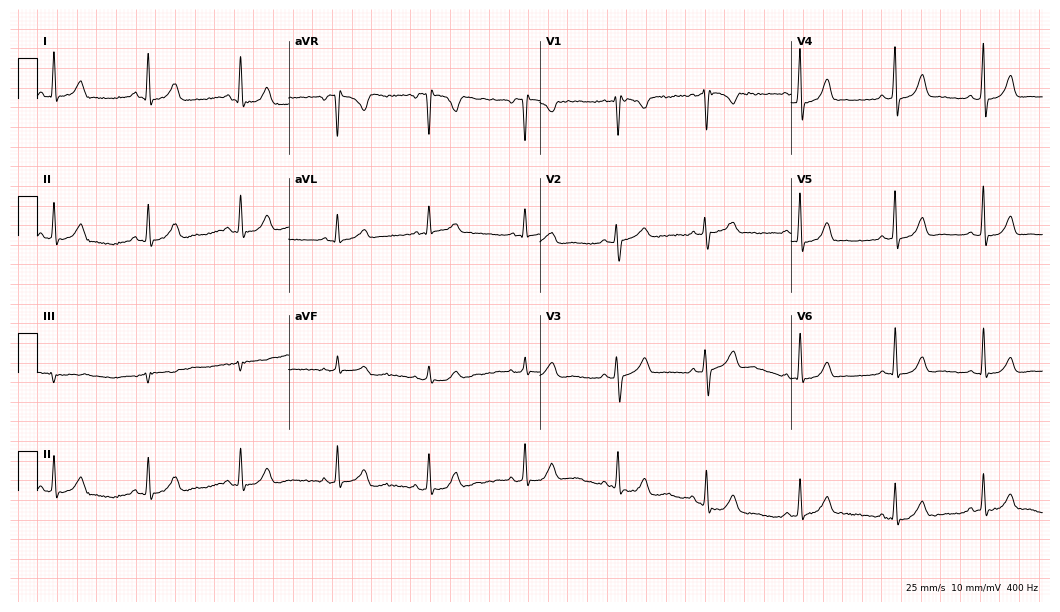
Electrocardiogram (10.2-second recording at 400 Hz), a female patient, 35 years old. Of the six screened findings (first-degree AV block, right bundle branch block (RBBB), left bundle branch block (LBBB), sinus bradycardia, atrial fibrillation (AF), sinus tachycardia), none is recorded.